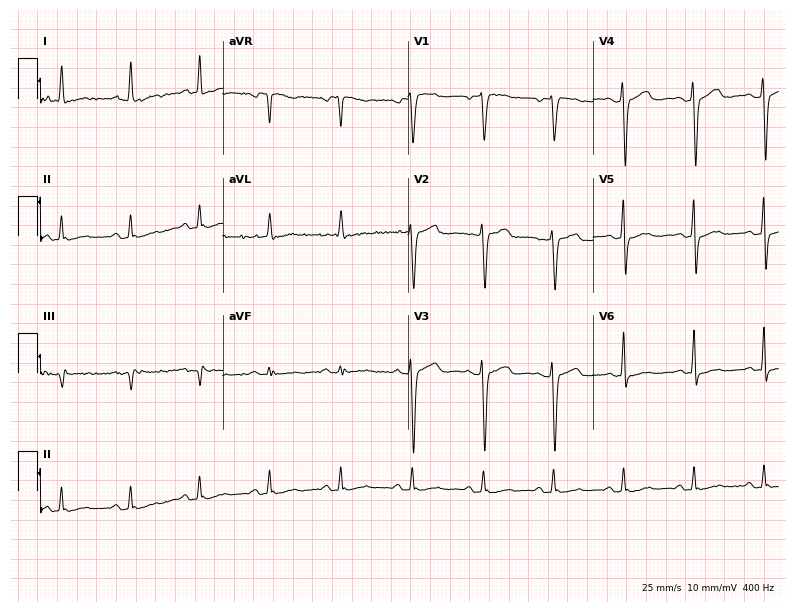
12-lead ECG from a 64-year-old female. Screened for six findings — first-degree AV block, right bundle branch block, left bundle branch block, sinus bradycardia, atrial fibrillation, sinus tachycardia — none is recorded.